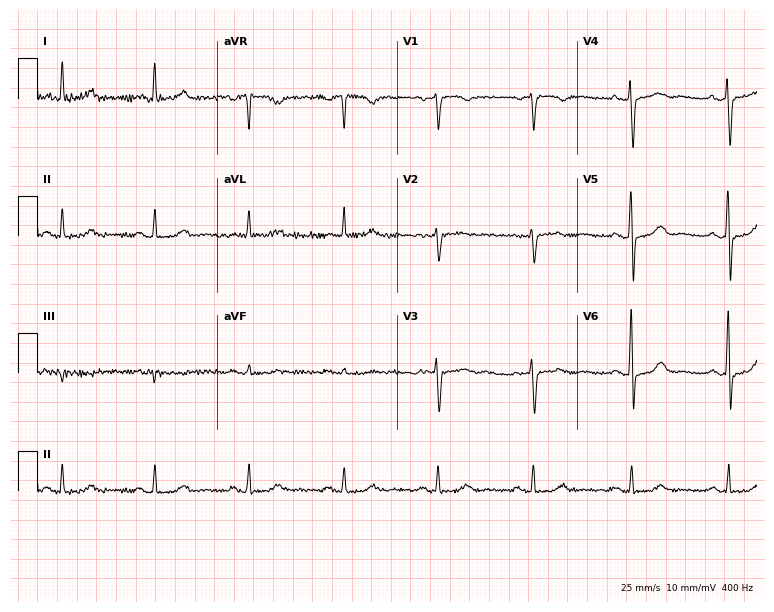
Resting 12-lead electrocardiogram (7.3-second recording at 400 Hz). Patient: a female, 59 years old. None of these six findings is recorded: first-degree AV block, right bundle branch block, left bundle branch block, sinus bradycardia, atrial fibrillation, sinus tachycardia.